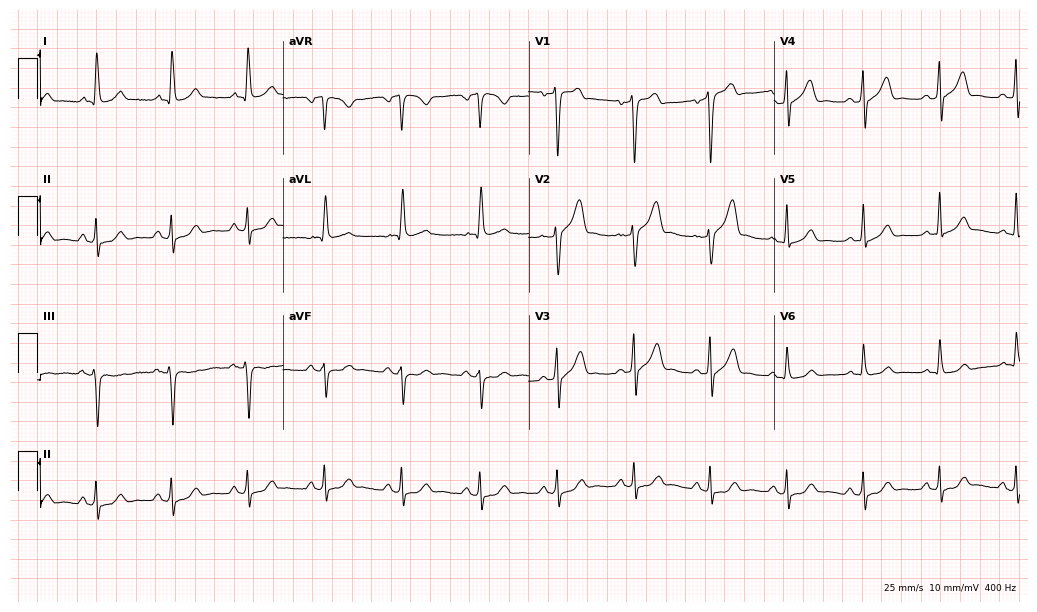
12-lead ECG from a 53-year-old male. Screened for six findings — first-degree AV block, right bundle branch block (RBBB), left bundle branch block (LBBB), sinus bradycardia, atrial fibrillation (AF), sinus tachycardia — none is recorded.